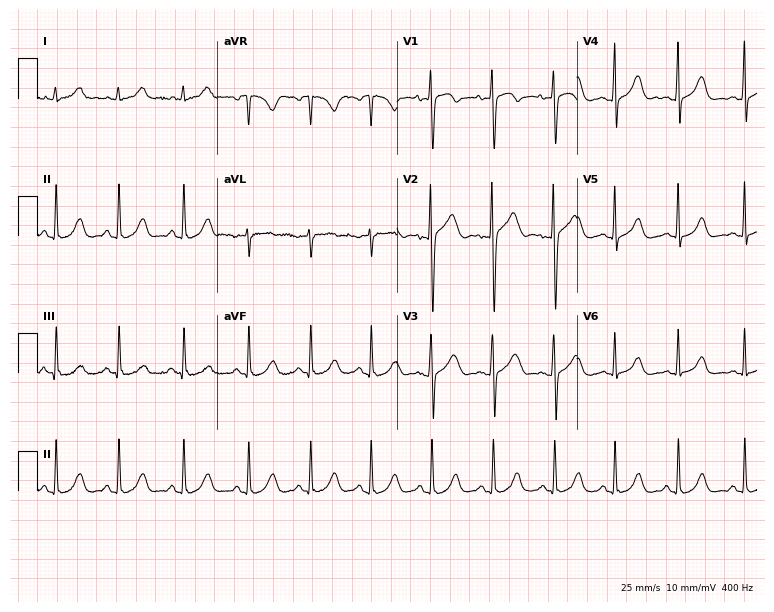
12-lead ECG from a female patient, 35 years old. No first-degree AV block, right bundle branch block, left bundle branch block, sinus bradycardia, atrial fibrillation or sinus tachycardia recorded for this tracing. Only these six findings were labelled.